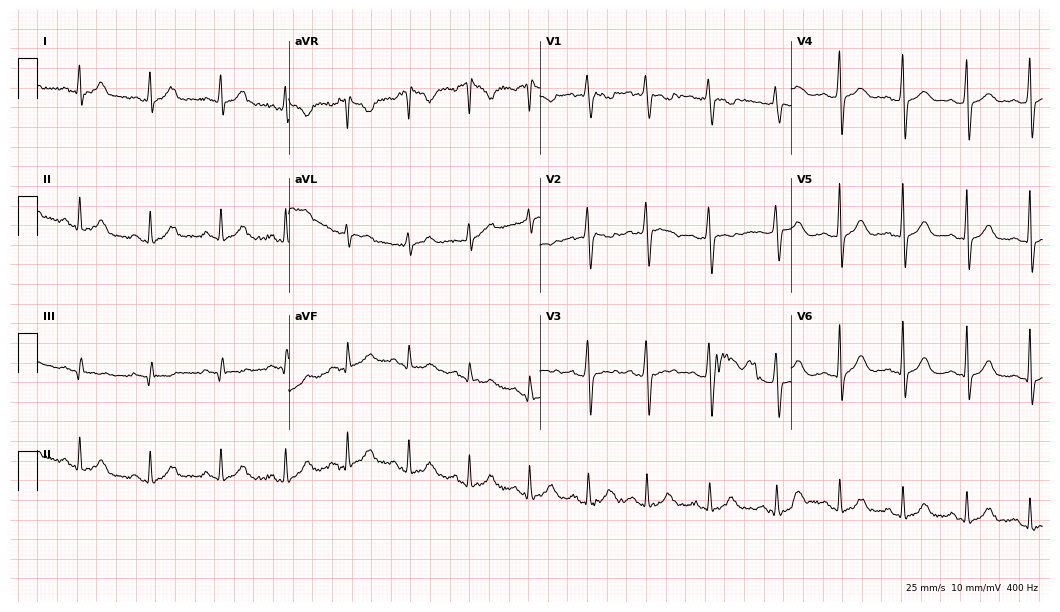
ECG (10.2-second recording at 400 Hz) — a female, 24 years old. Screened for six findings — first-degree AV block, right bundle branch block, left bundle branch block, sinus bradycardia, atrial fibrillation, sinus tachycardia — none is recorded.